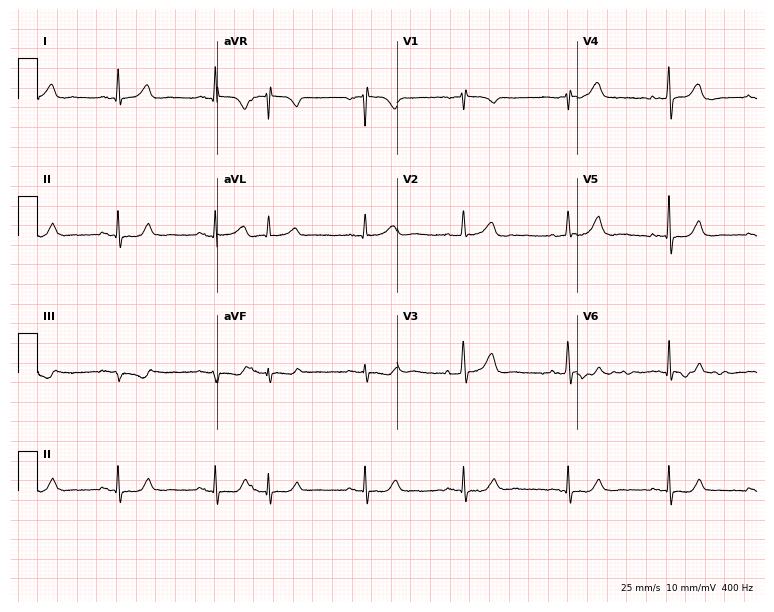
Electrocardiogram (7.3-second recording at 400 Hz), an 83-year-old female. Overall reading on record: normal ECG.